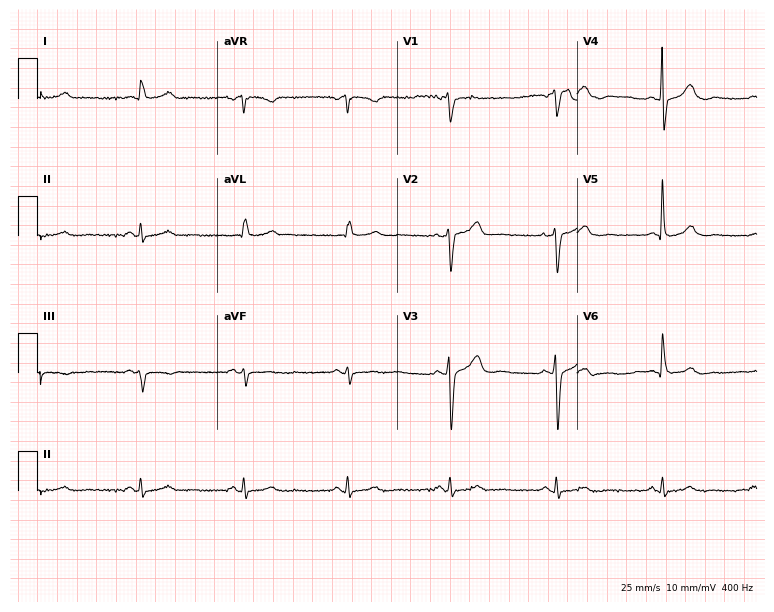
ECG (7.3-second recording at 400 Hz) — a 69-year-old man. Labelled as a normal ECG.